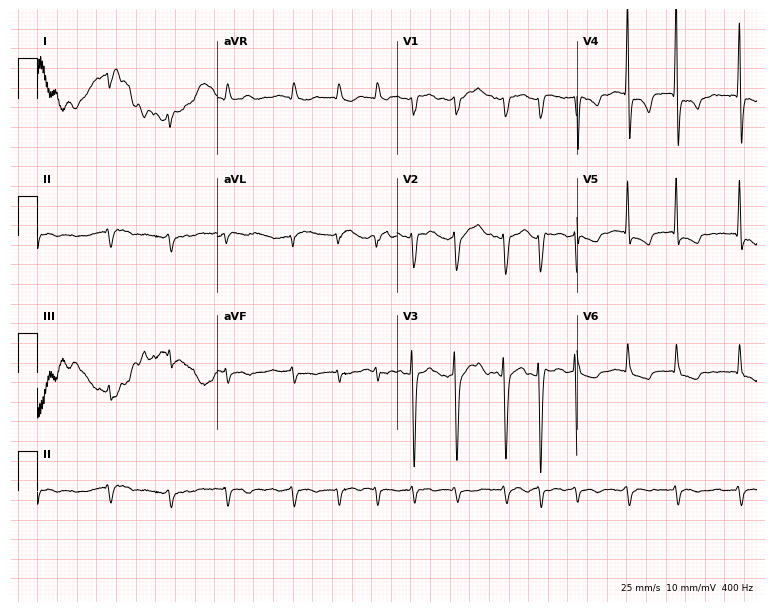
12-lead ECG from an 82-year-old man (7.3-second recording at 400 Hz). Shows atrial fibrillation.